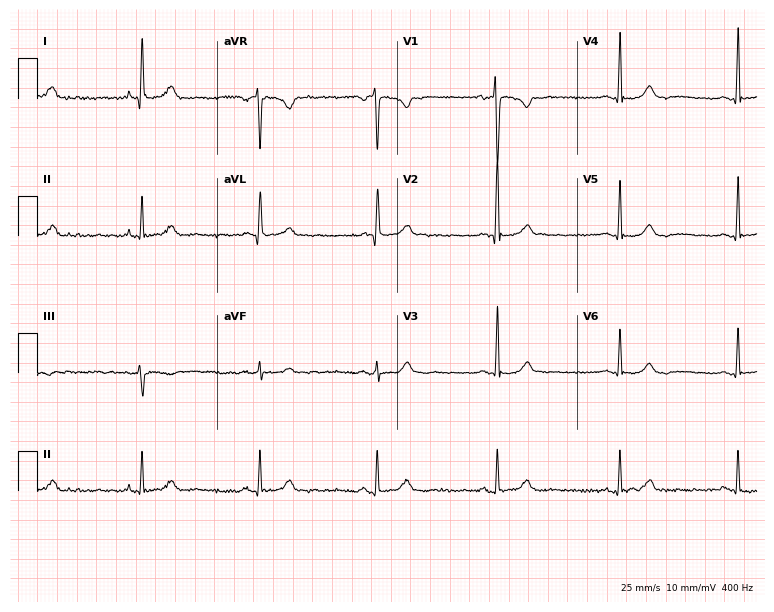
12-lead ECG from a woman, 63 years old. Shows sinus bradycardia (a sinus rate of 50 beats per minute or less).